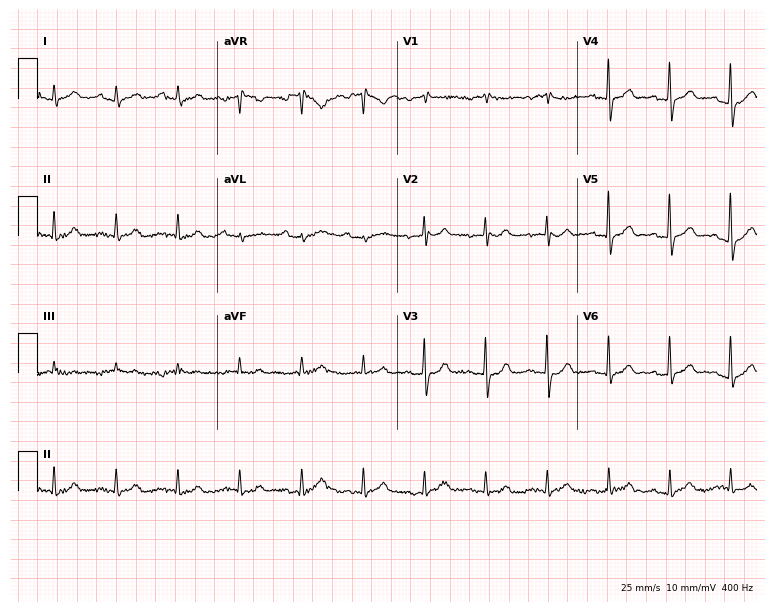
12-lead ECG from a man, 82 years old (7.3-second recording at 400 Hz). Recorded interpretation: within normal limits.